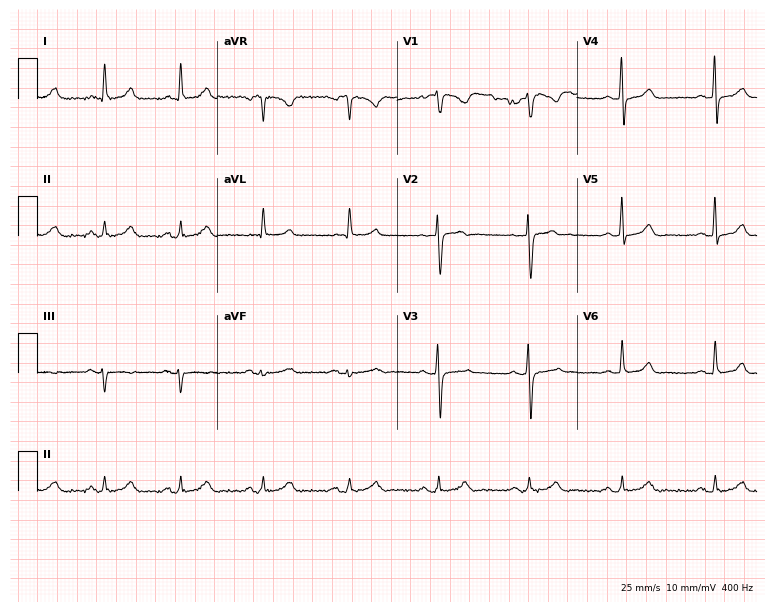
ECG — a 54-year-old male patient. Labelled as a normal ECG.